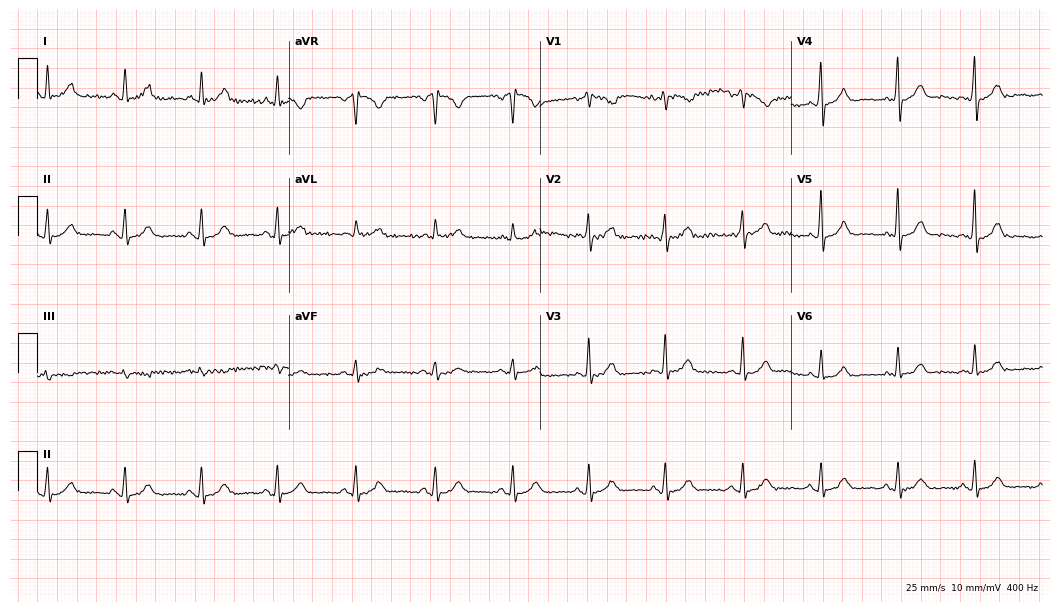
12-lead ECG (10.2-second recording at 400 Hz) from a female, 27 years old. Labelled as a normal ECG.